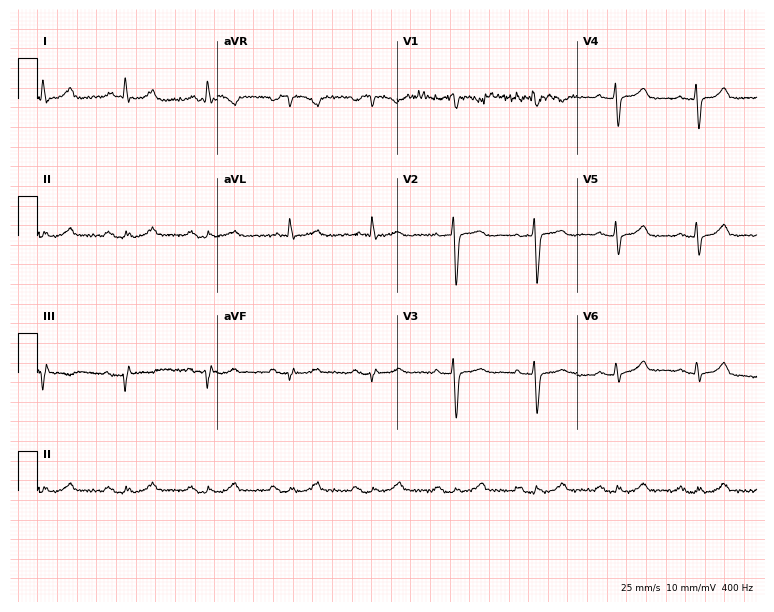
12-lead ECG (7.3-second recording at 400 Hz) from a female, 75 years old. Screened for six findings — first-degree AV block, right bundle branch block, left bundle branch block, sinus bradycardia, atrial fibrillation, sinus tachycardia — none is recorded. Findings outside these six are not listed.